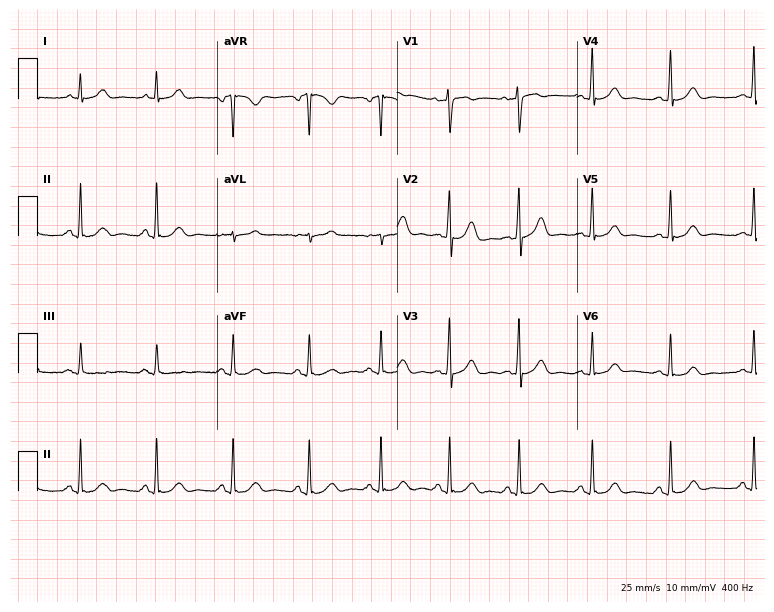
12-lead ECG from a man, 38 years old. Recorded interpretation: within normal limits.